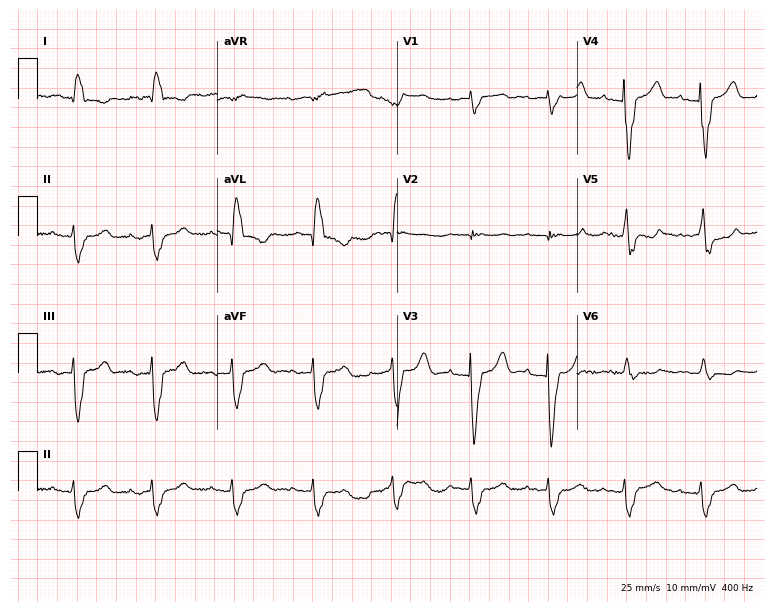
Electrocardiogram (7.3-second recording at 400 Hz), a 75-year-old man. Of the six screened findings (first-degree AV block, right bundle branch block, left bundle branch block, sinus bradycardia, atrial fibrillation, sinus tachycardia), none is recorded.